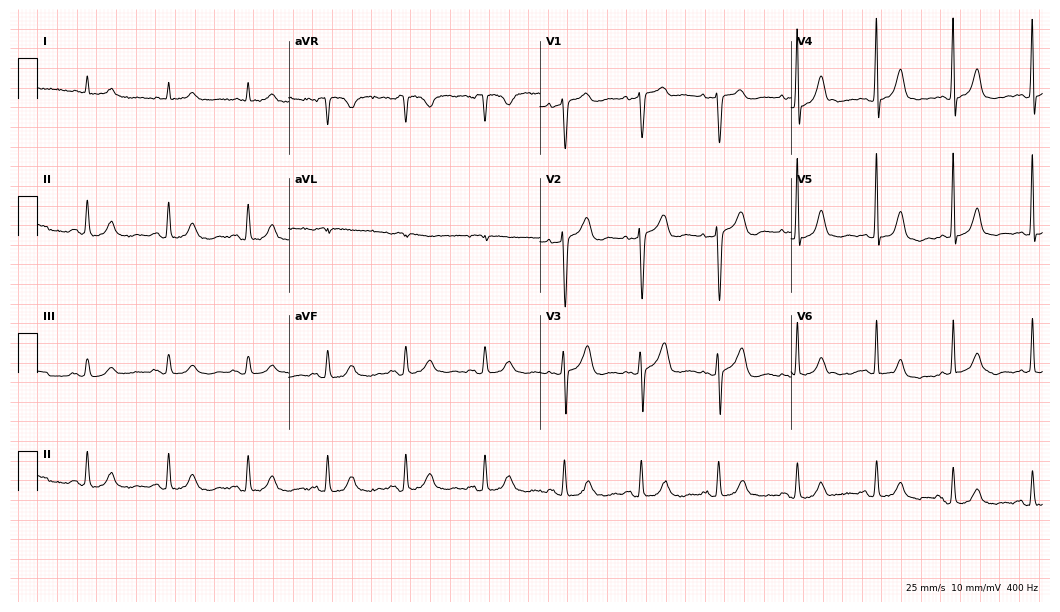
ECG (10.2-second recording at 400 Hz) — a 70-year-old male patient. Labelled as a normal ECG.